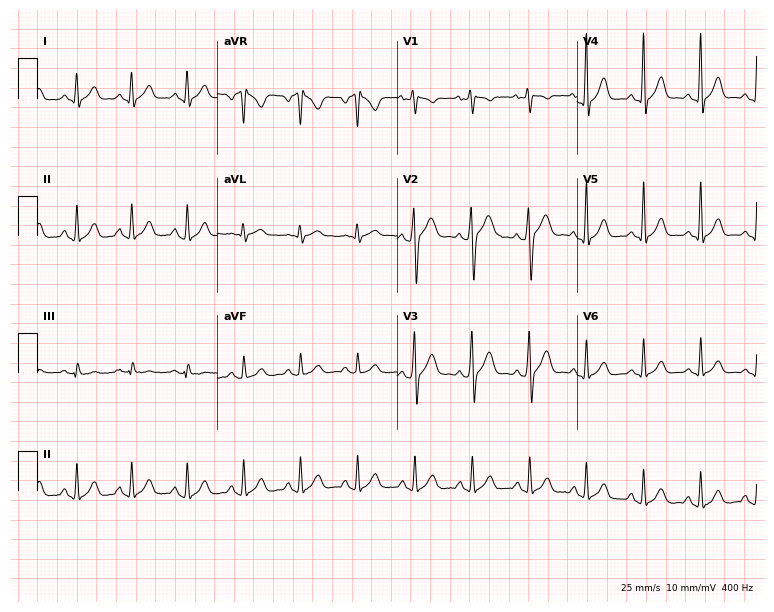
12-lead ECG from a 44-year-old male. No first-degree AV block, right bundle branch block (RBBB), left bundle branch block (LBBB), sinus bradycardia, atrial fibrillation (AF) or sinus tachycardia recorded for this tracing. Only these six findings were labelled.